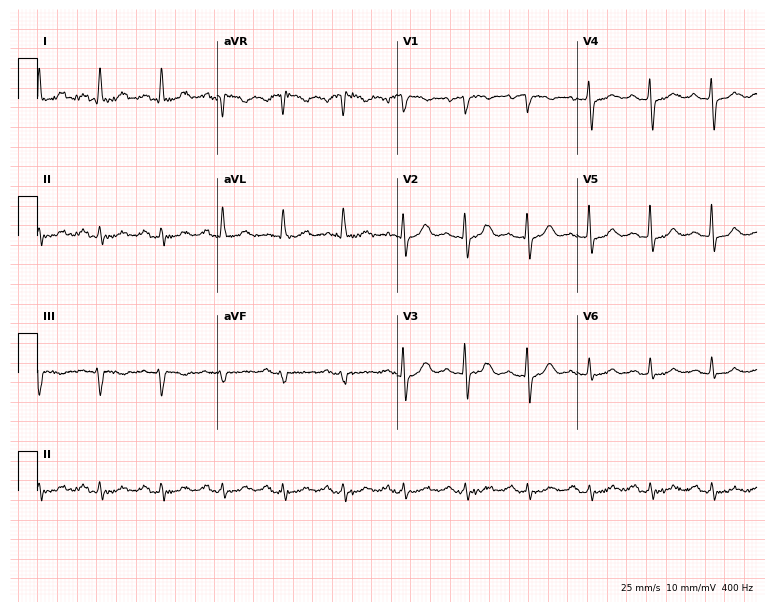
Resting 12-lead electrocardiogram. Patient: a woman, 64 years old. Read as a normal ECG.